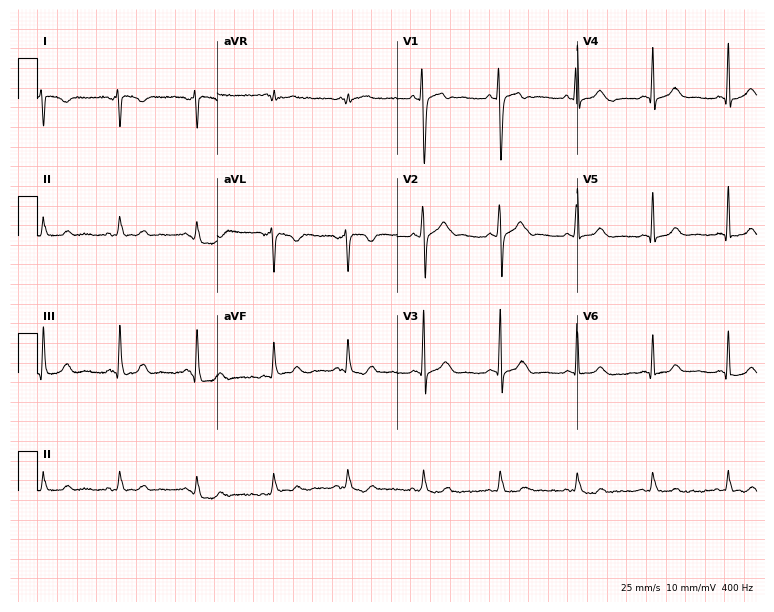
ECG (7.3-second recording at 400 Hz) — a 37-year-old female. Screened for six findings — first-degree AV block, right bundle branch block, left bundle branch block, sinus bradycardia, atrial fibrillation, sinus tachycardia — none is recorded. Other findings, if any, are not listed.